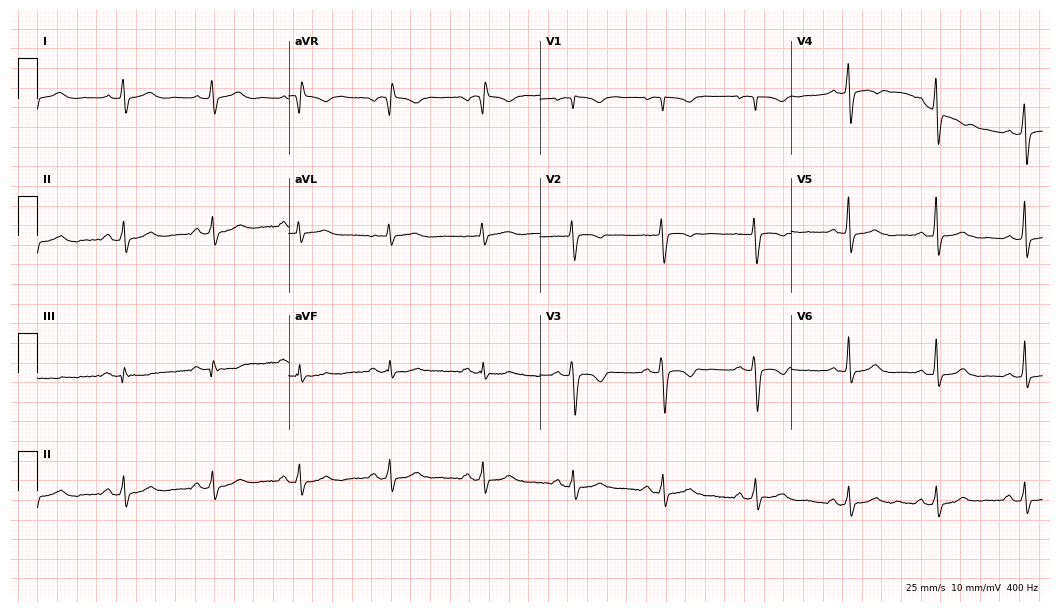
Resting 12-lead electrocardiogram (10.2-second recording at 400 Hz). Patient: a female, 30 years old. None of these six findings is recorded: first-degree AV block, right bundle branch block, left bundle branch block, sinus bradycardia, atrial fibrillation, sinus tachycardia.